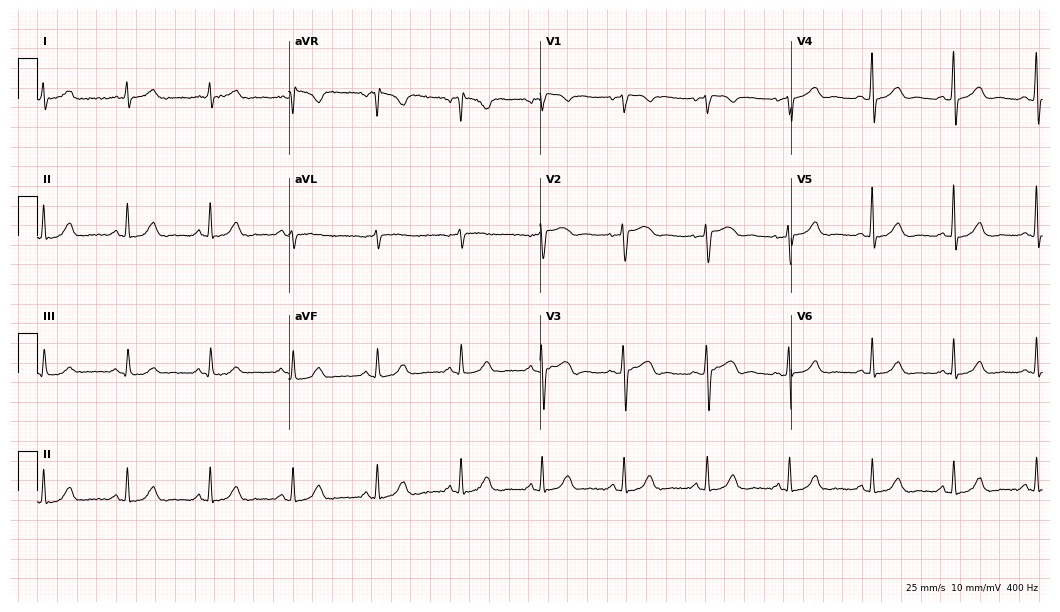
ECG (10.2-second recording at 400 Hz) — a 61-year-old woman. Screened for six findings — first-degree AV block, right bundle branch block, left bundle branch block, sinus bradycardia, atrial fibrillation, sinus tachycardia — none is recorded.